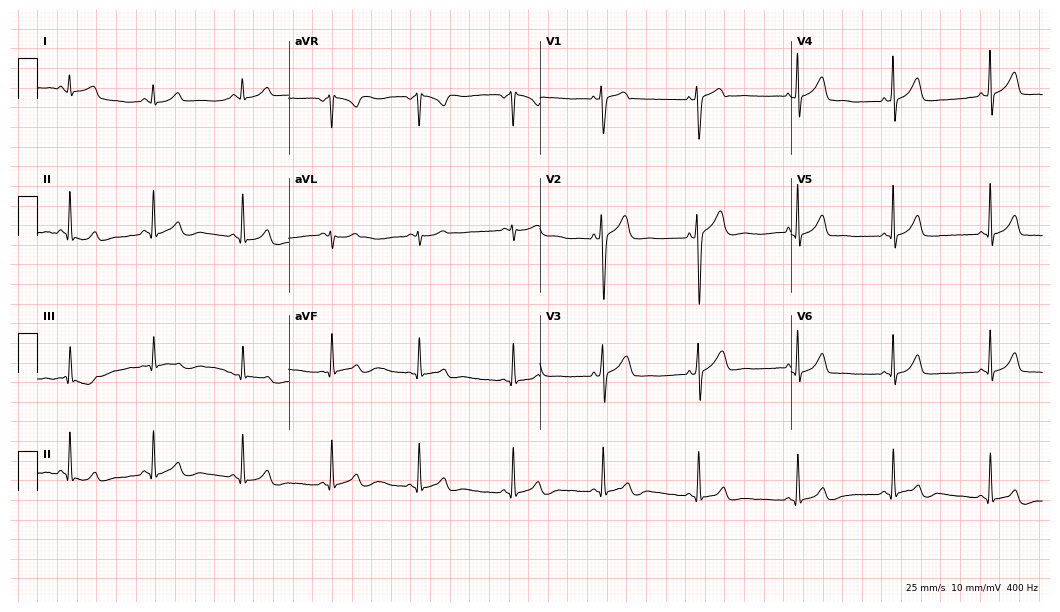
Electrocardiogram (10.2-second recording at 400 Hz), a 24-year-old woman. Overall reading on record: normal ECG.